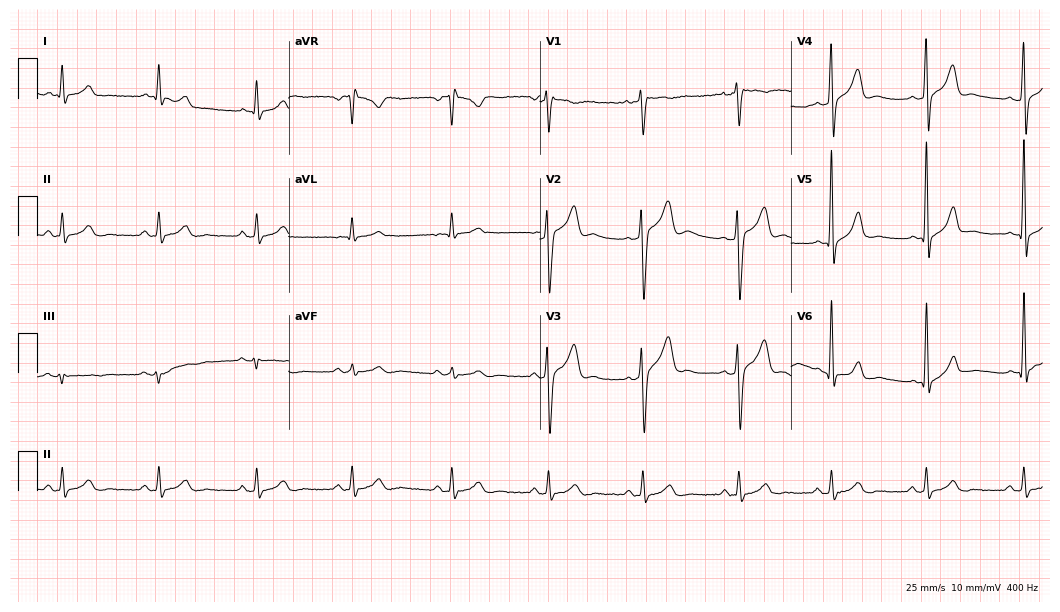
Electrocardiogram (10.2-second recording at 400 Hz), a woman, 36 years old. Overall reading on record: normal ECG.